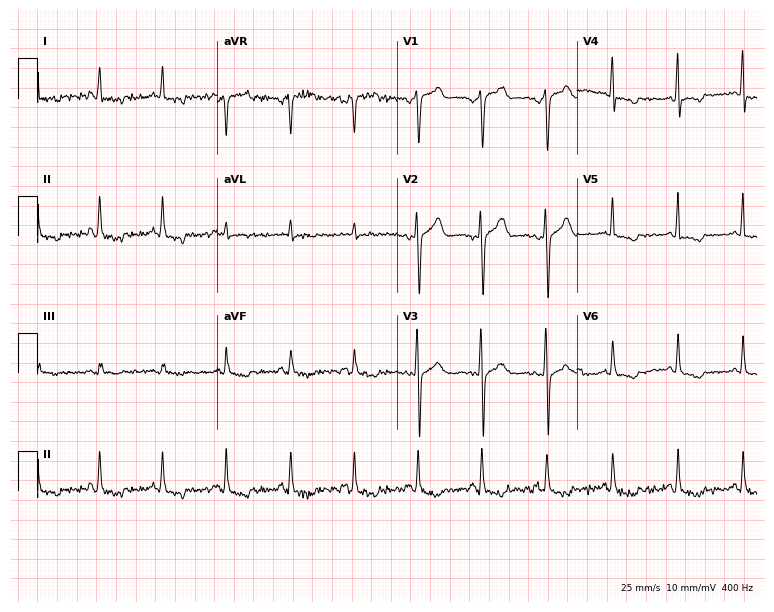
12-lead ECG from a 62-year-old woman. Screened for six findings — first-degree AV block, right bundle branch block, left bundle branch block, sinus bradycardia, atrial fibrillation, sinus tachycardia — none is recorded. Only these six findings were labelled.